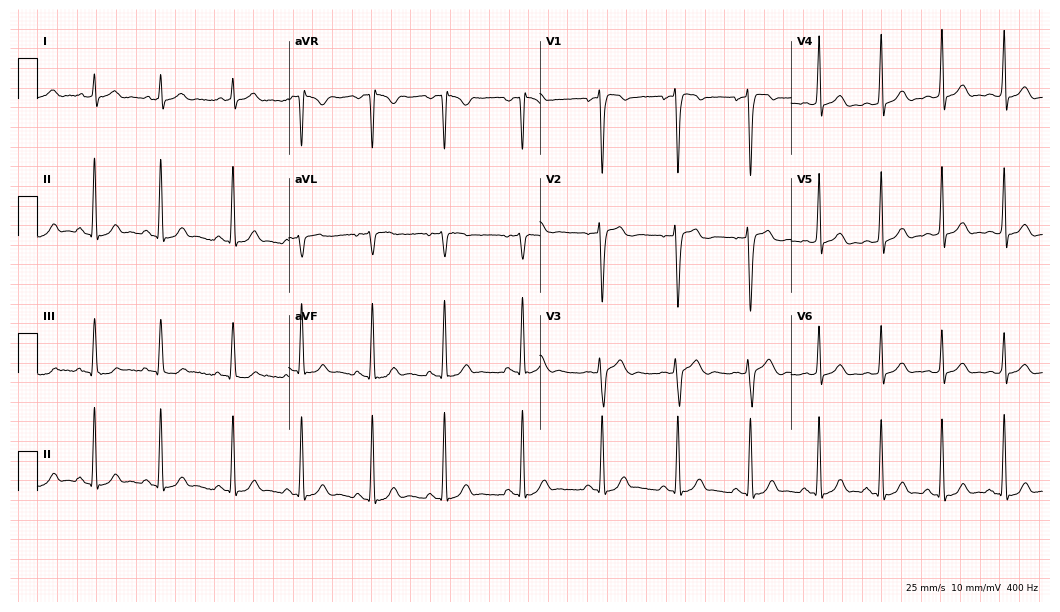
12-lead ECG from a 17-year-old male patient. No first-degree AV block, right bundle branch block, left bundle branch block, sinus bradycardia, atrial fibrillation or sinus tachycardia recorded for this tracing. Findings outside these six are not listed.